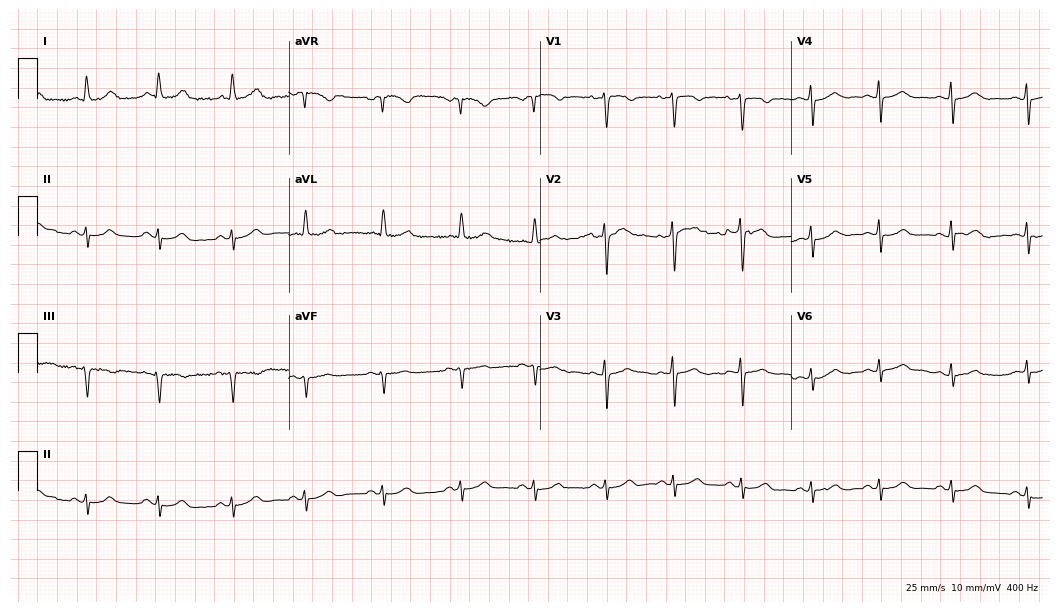
Resting 12-lead electrocardiogram (10.2-second recording at 400 Hz). Patient: a 41-year-old female. None of these six findings is recorded: first-degree AV block, right bundle branch block (RBBB), left bundle branch block (LBBB), sinus bradycardia, atrial fibrillation (AF), sinus tachycardia. Only these six findings were labelled.